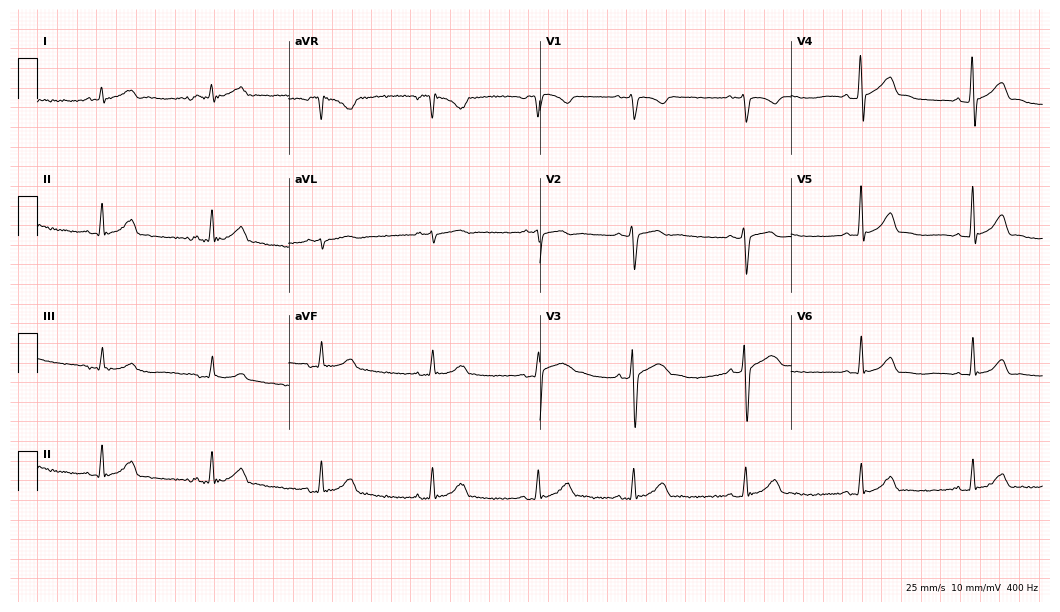
Electrocardiogram, a 25-year-old man. Overall reading on record: normal ECG.